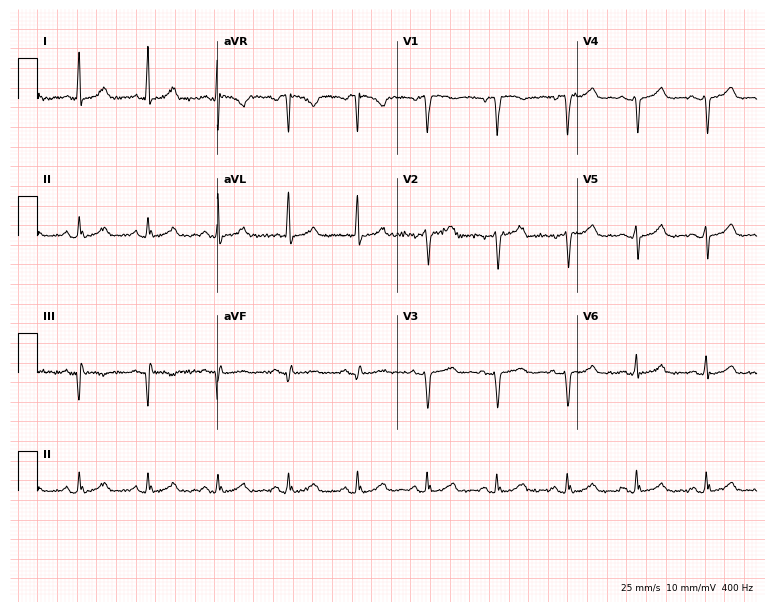
Resting 12-lead electrocardiogram (7.3-second recording at 400 Hz). Patient: a female, 51 years old. None of these six findings is recorded: first-degree AV block, right bundle branch block, left bundle branch block, sinus bradycardia, atrial fibrillation, sinus tachycardia. Findings outside these six are not listed.